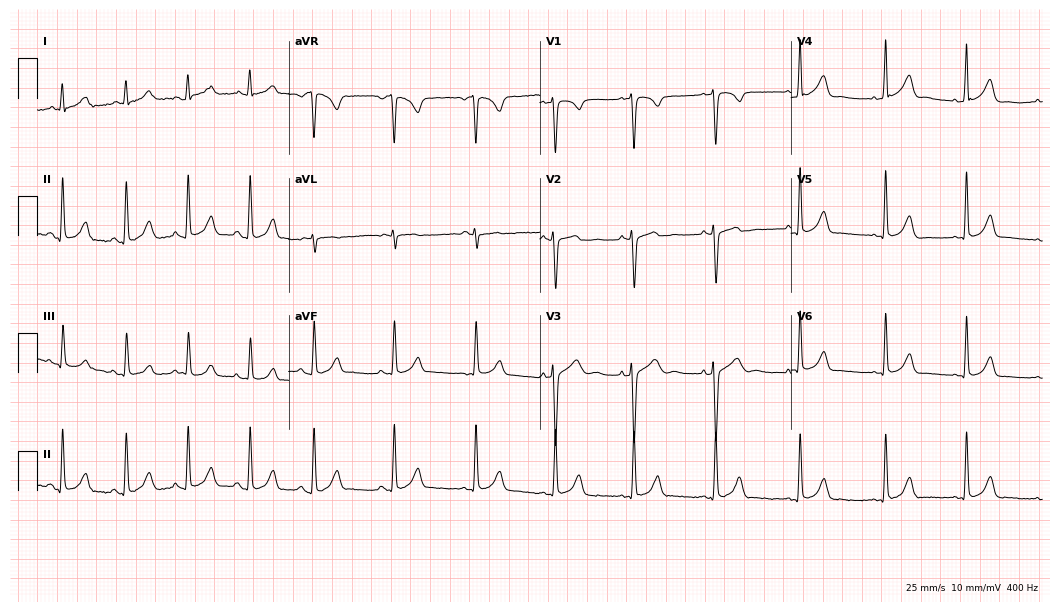
Resting 12-lead electrocardiogram (10.2-second recording at 400 Hz). Patient: a woman, 26 years old. None of these six findings is recorded: first-degree AV block, right bundle branch block, left bundle branch block, sinus bradycardia, atrial fibrillation, sinus tachycardia. Other findings, if any, are not listed.